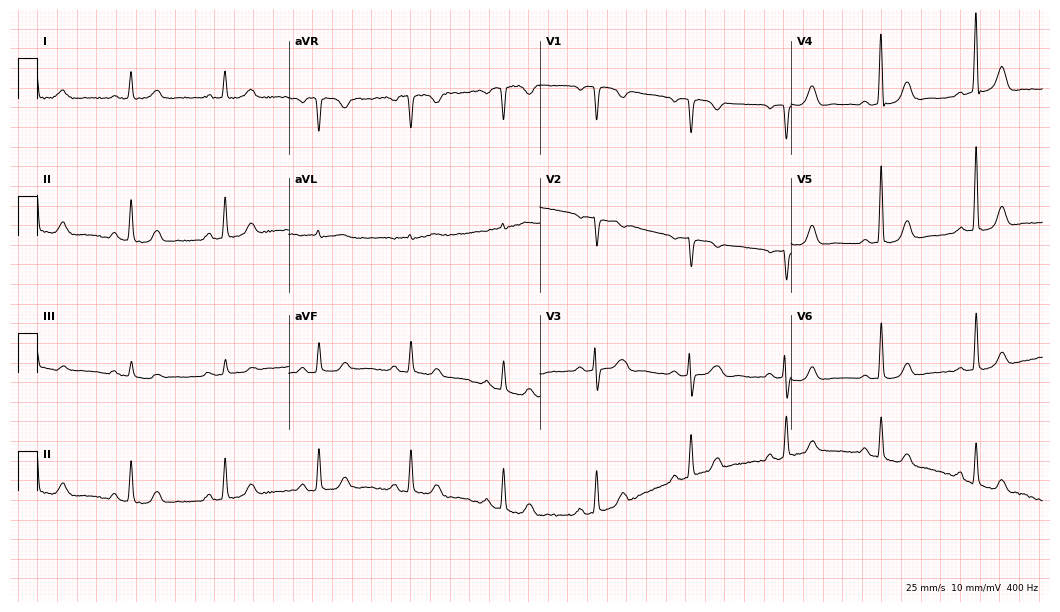
Electrocardiogram (10.2-second recording at 400 Hz), a 57-year-old female. Overall reading on record: normal ECG.